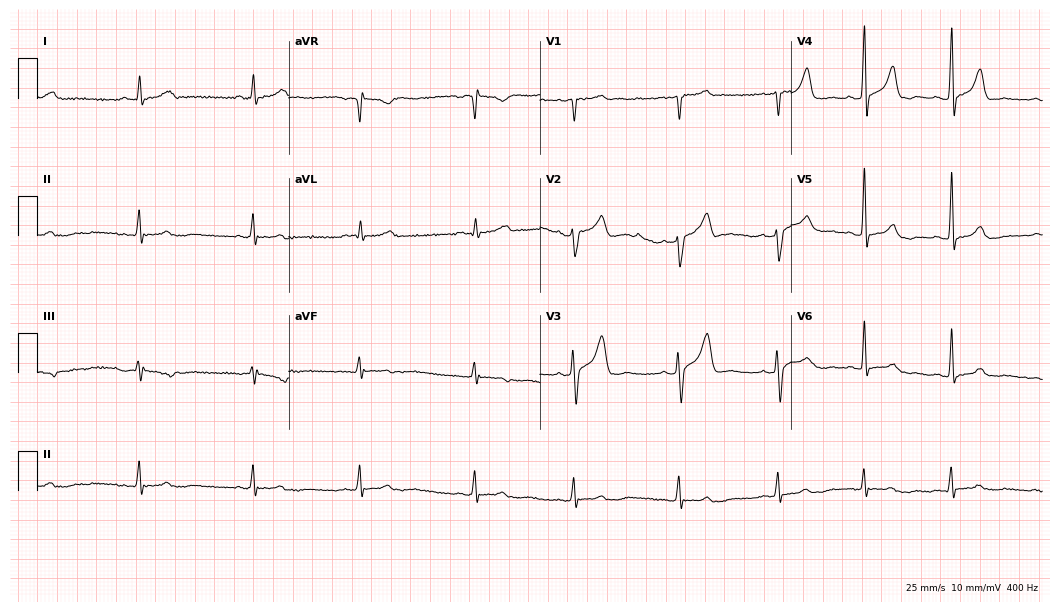
12-lead ECG (10.2-second recording at 400 Hz) from a 47-year-old male. Labelled as a normal ECG.